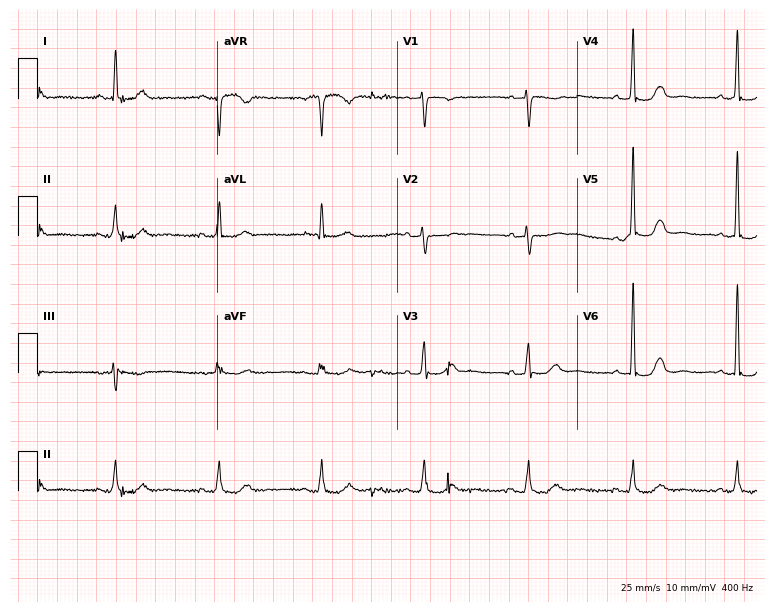
12-lead ECG from a female, 79 years old. No first-degree AV block, right bundle branch block, left bundle branch block, sinus bradycardia, atrial fibrillation or sinus tachycardia recorded for this tracing. Other findings, if any, are not listed.